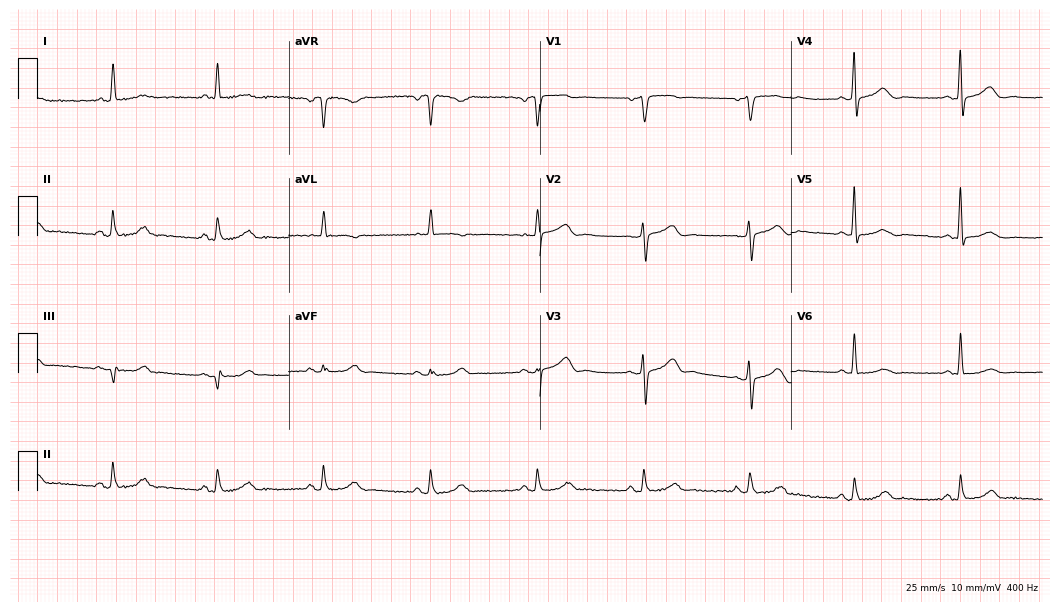
12-lead ECG from a 67-year-old female (10.2-second recording at 400 Hz). Recorded interpretation: within normal limits.